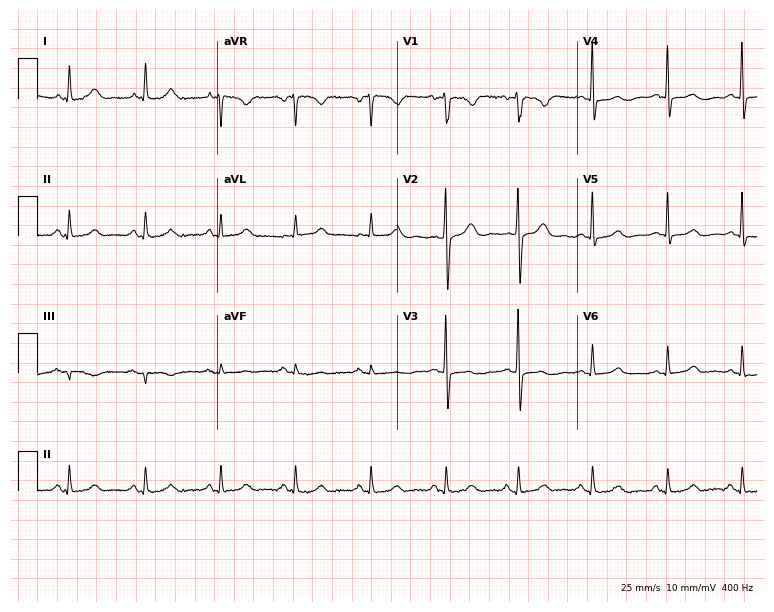
Resting 12-lead electrocardiogram. Patient: a female, 41 years old. Read as a normal ECG.